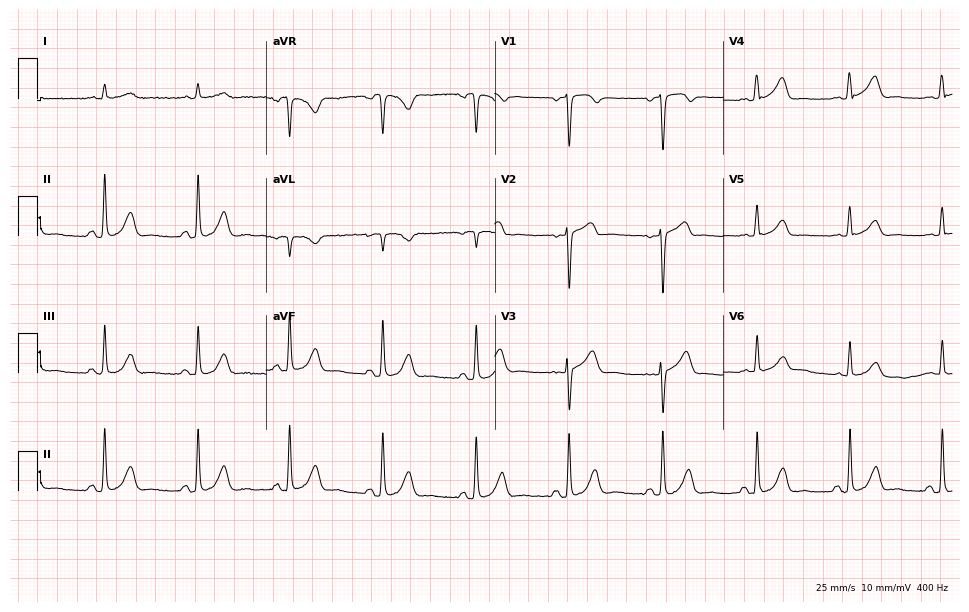
Electrocardiogram, a man, 67 years old. Overall reading on record: normal ECG.